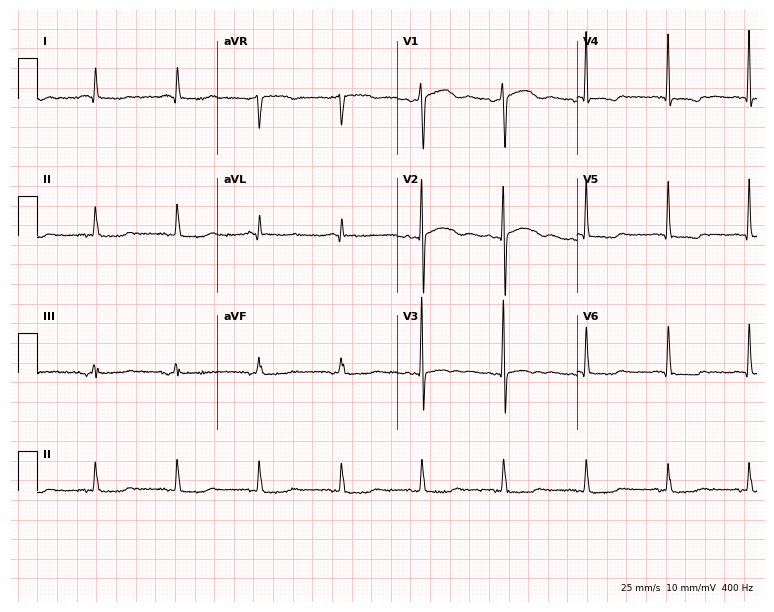
12-lead ECG from a male patient, 77 years old. Labelled as a normal ECG.